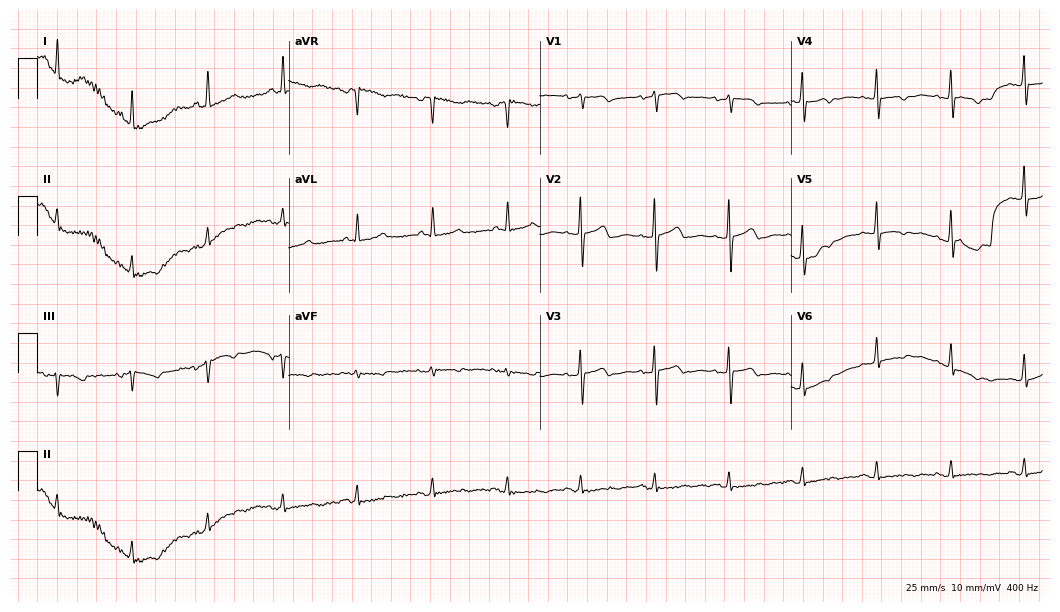
ECG — a woman, 74 years old. Screened for six findings — first-degree AV block, right bundle branch block, left bundle branch block, sinus bradycardia, atrial fibrillation, sinus tachycardia — none is recorded.